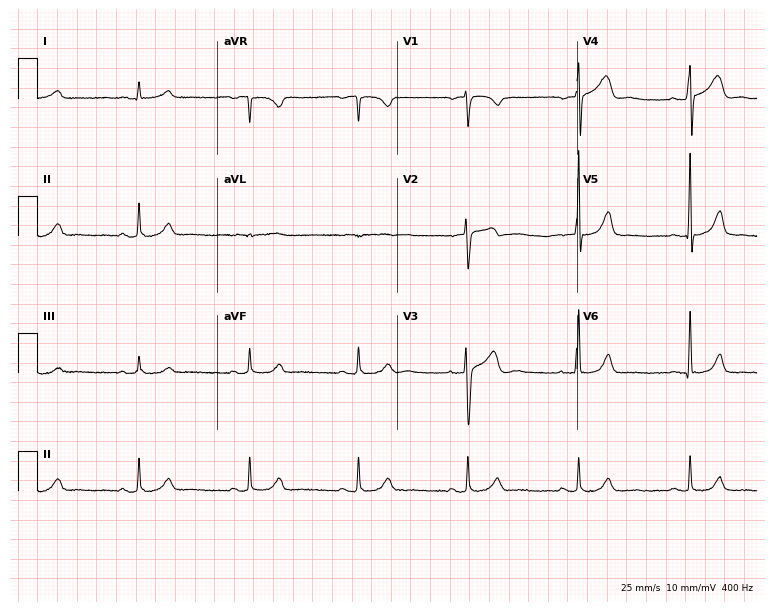
12-lead ECG from a man, 54 years old. No first-degree AV block, right bundle branch block, left bundle branch block, sinus bradycardia, atrial fibrillation or sinus tachycardia recorded for this tracing.